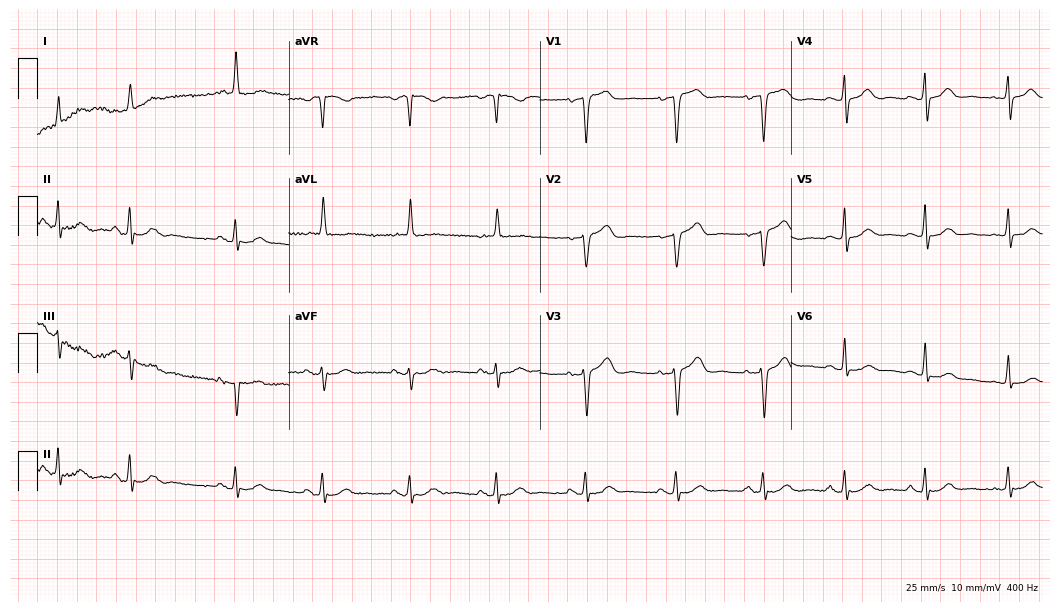
ECG — a woman, 83 years old. Screened for six findings — first-degree AV block, right bundle branch block (RBBB), left bundle branch block (LBBB), sinus bradycardia, atrial fibrillation (AF), sinus tachycardia — none is recorded. Other findings, if any, are not listed.